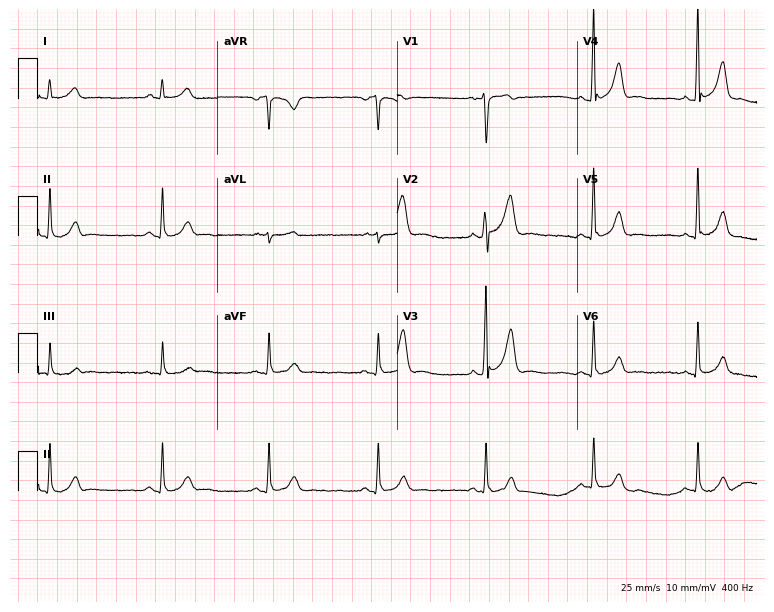
Resting 12-lead electrocardiogram (7.3-second recording at 400 Hz). Patient: a male, 31 years old. None of these six findings is recorded: first-degree AV block, right bundle branch block (RBBB), left bundle branch block (LBBB), sinus bradycardia, atrial fibrillation (AF), sinus tachycardia. Findings outside these six are not listed.